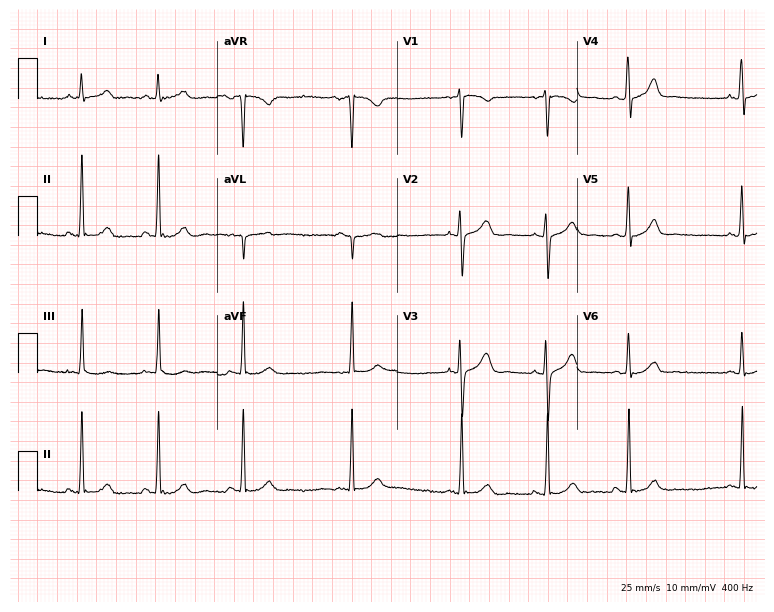
12-lead ECG from a female patient, 19 years old. Labelled as a normal ECG.